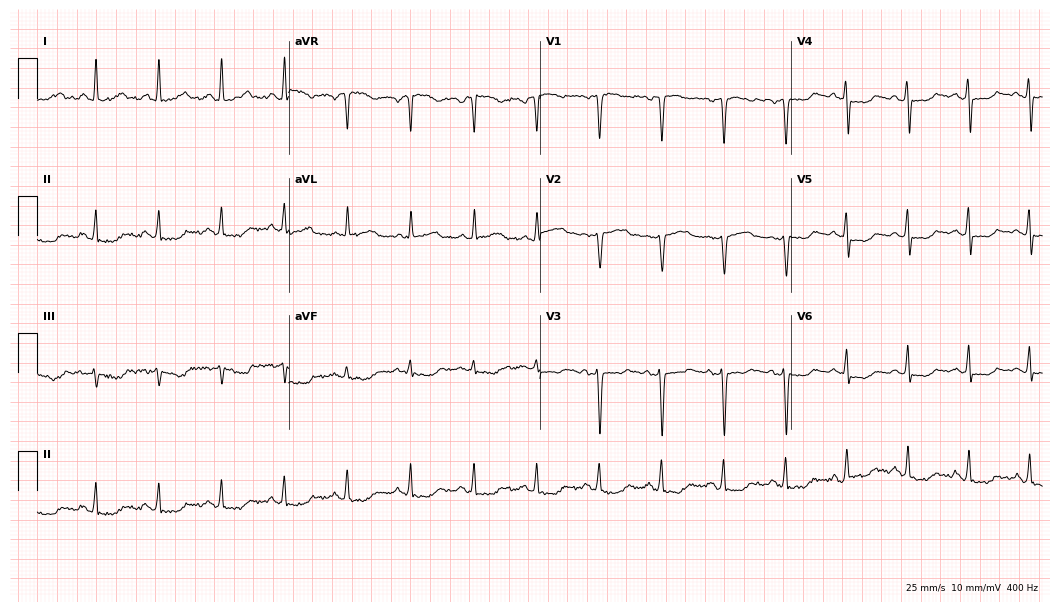
ECG (10.2-second recording at 400 Hz) — a female patient, 41 years old. Screened for six findings — first-degree AV block, right bundle branch block (RBBB), left bundle branch block (LBBB), sinus bradycardia, atrial fibrillation (AF), sinus tachycardia — none is recorded. Findings outside these six are not listed.